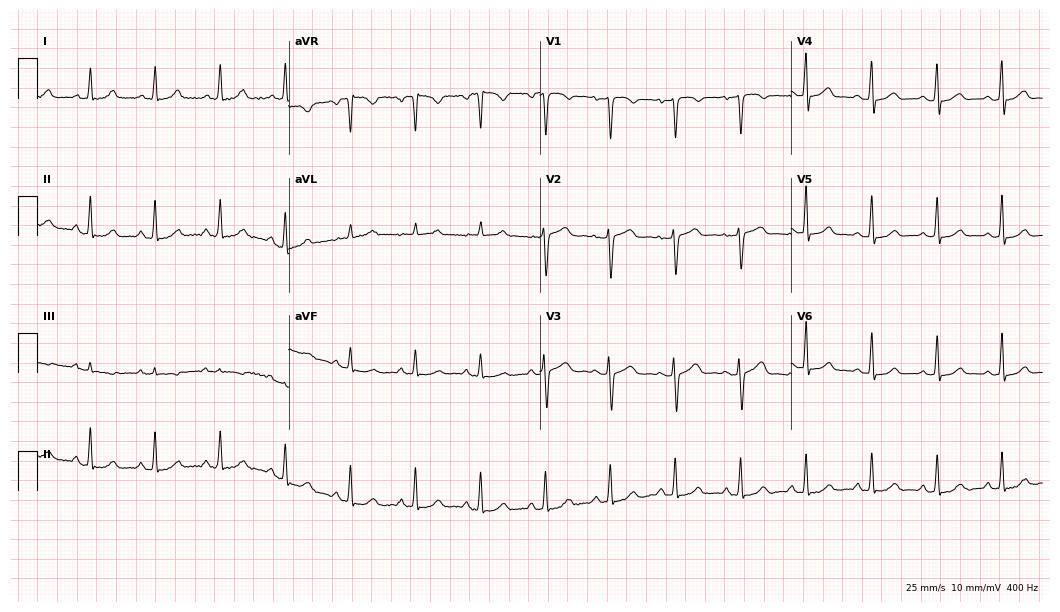
12-lead ECG (10.2-second recording at 400 Hz) from a 41-year-old woman. Labelled as a normal ECG.